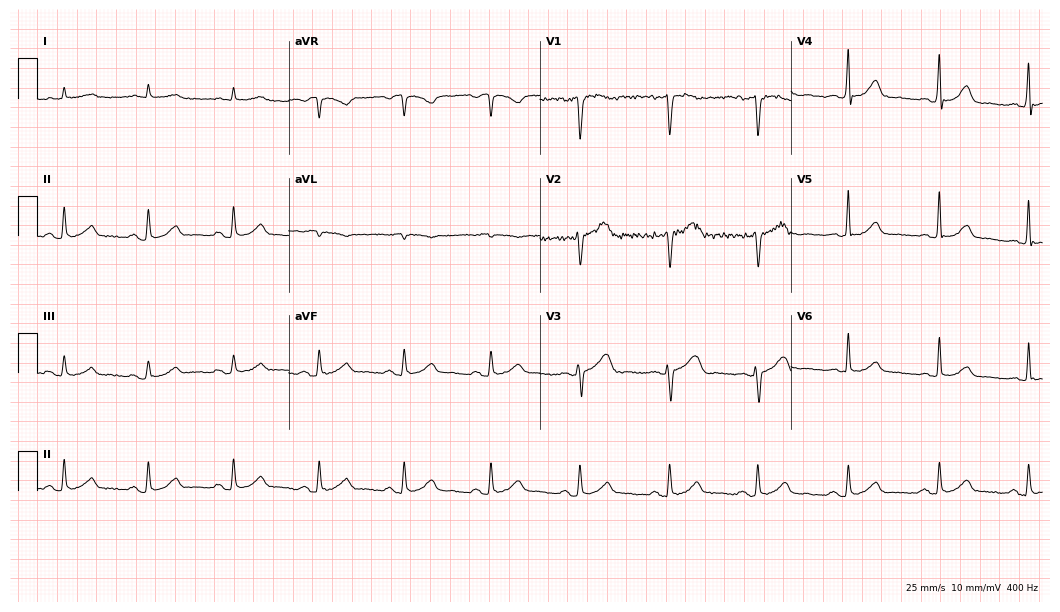
ECG — a male, 82 years old. Labelled as a normal ECG.